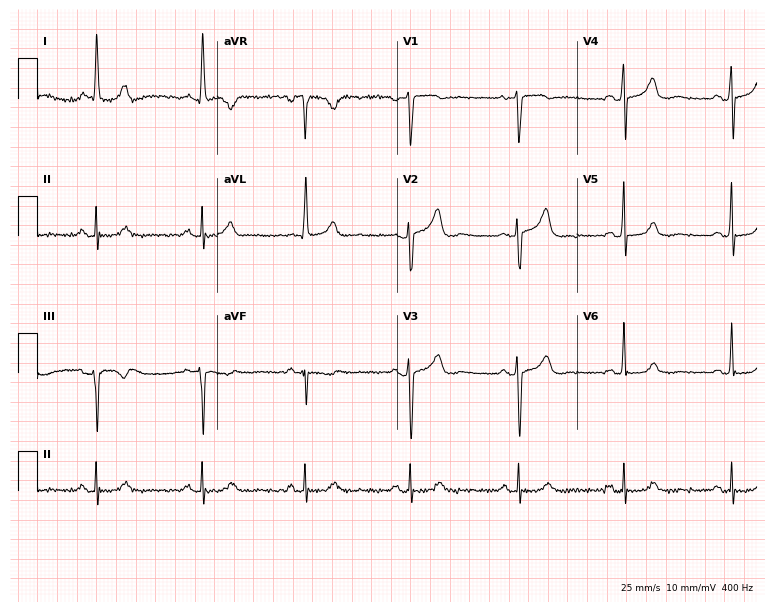
12-lead ECG from a 63-year-old woman. Recorded interpretation: within normal limits.